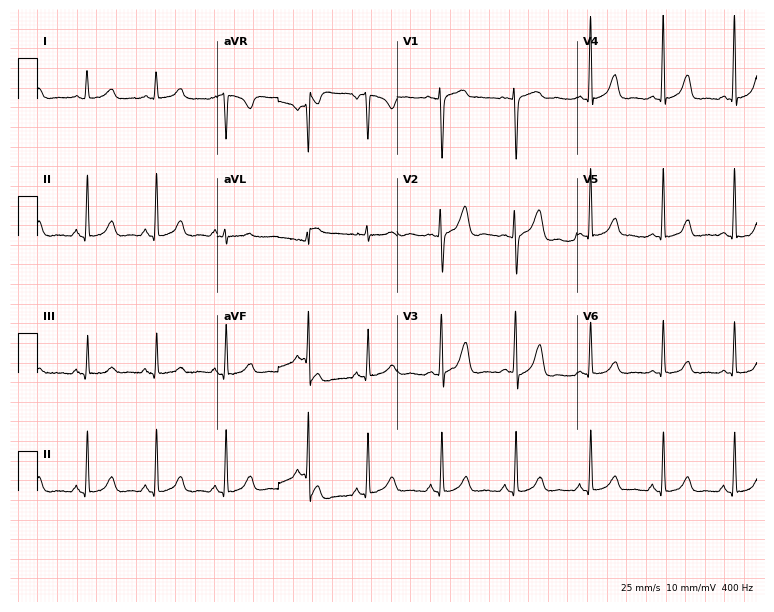
12-lead ECG from a 38-year-old woman. Recorded interpretation: within normal limits.